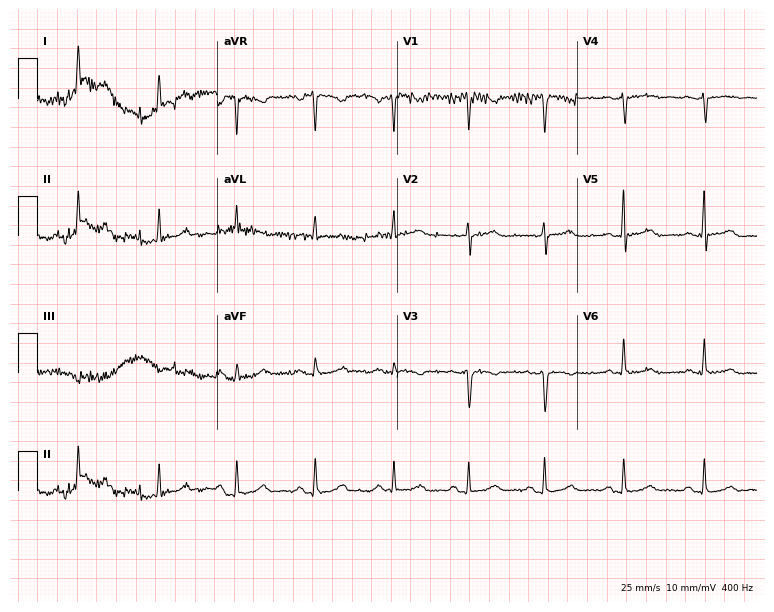
12-lead ECG from a female, 52 years old. No first-degree AV block, right bundle branch block, left bundle branch block, sinus bradycardia, atrial fibrillation or sinus tachycardia recorded for this tracing. Only these six findings were labelled.